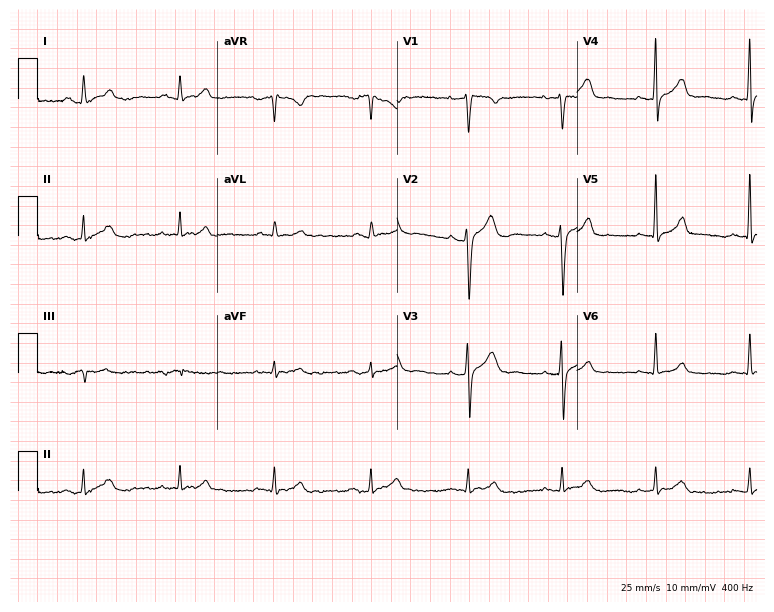
ECG (7.3-second recording at 400 Hz) — a 33-year-old man. Screened for six findings — first-degree AV block, right bundle branch block (RBBB), left bundle branch block (LBBB), sinus bradycardia, atrial fibrillation (AF), sinus tachycardia — none is recorded.